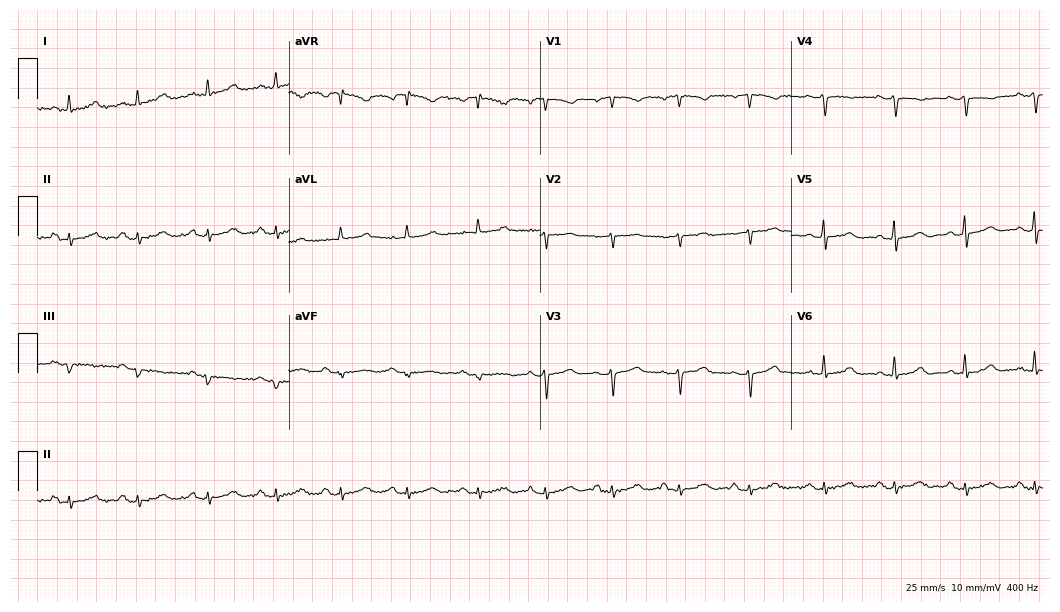
12-lead ECG from a 50-year-old female (10.2-second recording at 400 Hz). No first-degree AV block, right bundle branch block (RBBB), left bundle branch block (LBBB), sinus bradycardia, atrial fibrillation (AF) or sinus tachycardia recorded for this tracing. Other findings, if any, are not listed.